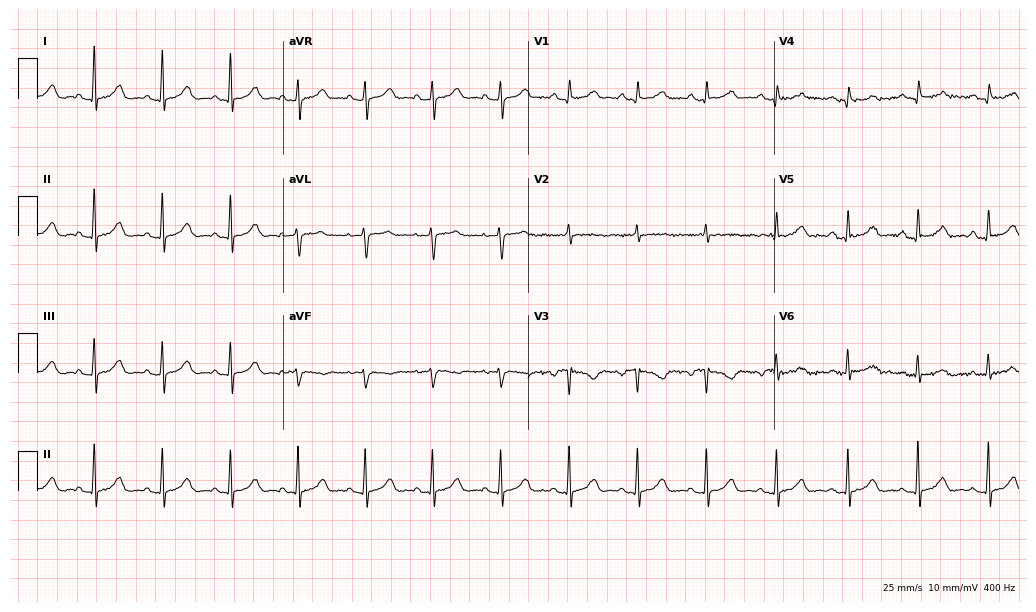
Electrocardiogram (10-second recording at 400 Hz), a woman, 63 years old. Of the six screened findings (first-degree AV block, right bundle branch block, left bundle branch block, sinus bradycardia, atrial fibrillation, sinus tachycardia), none is recorded. Findings outside these six are not listed.